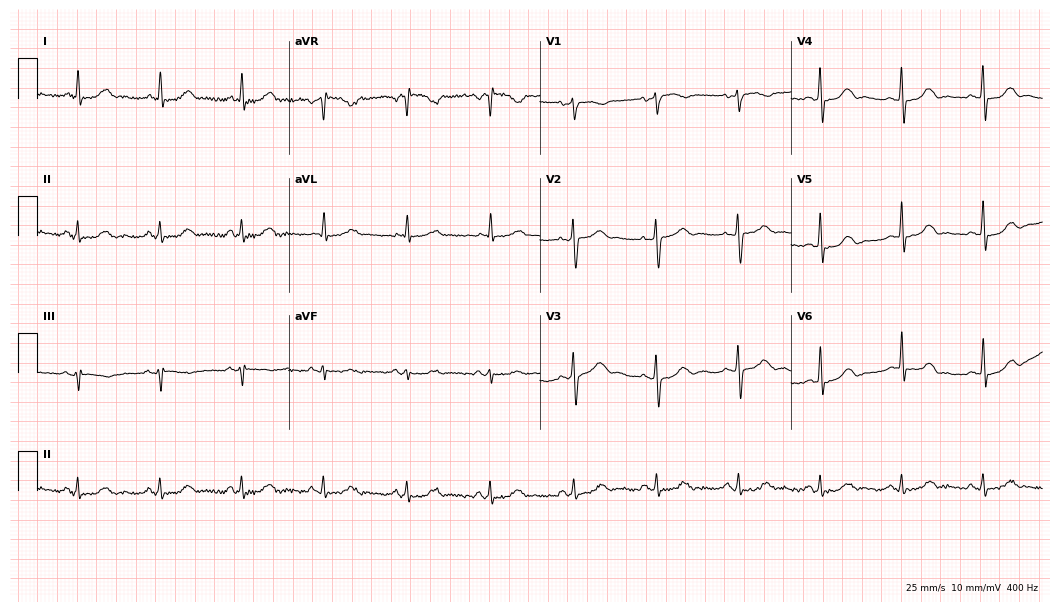
Standard 12-lead ECG recorded from a 61-year-old woman. Read as a normal ECG.